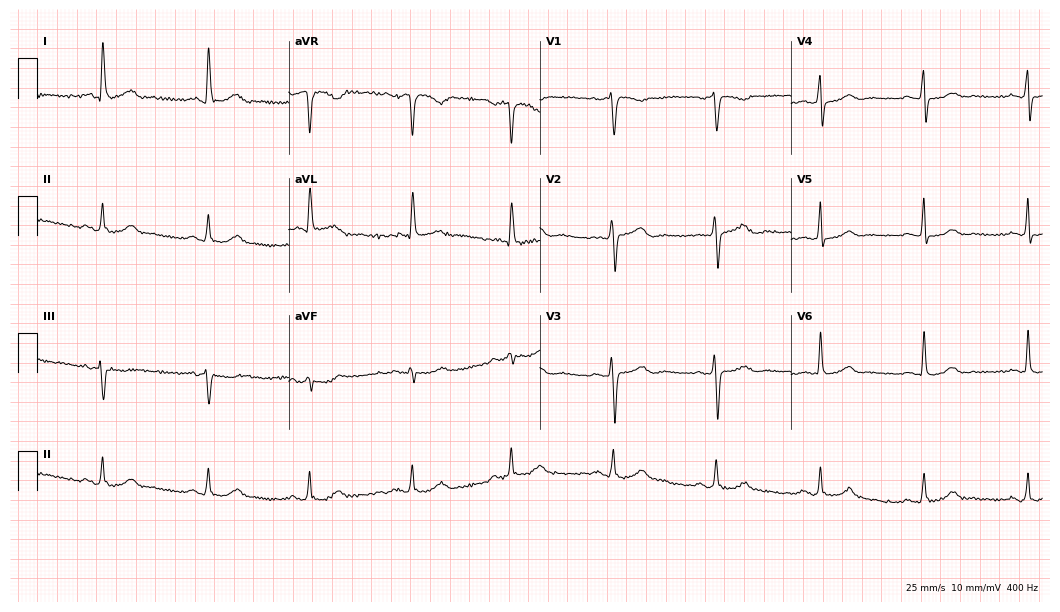
Resting 12-lead electrocardiogram (10.2-second recording at 400 Hz). Patient: a 69-year-old woman. Read as a normal ECG.